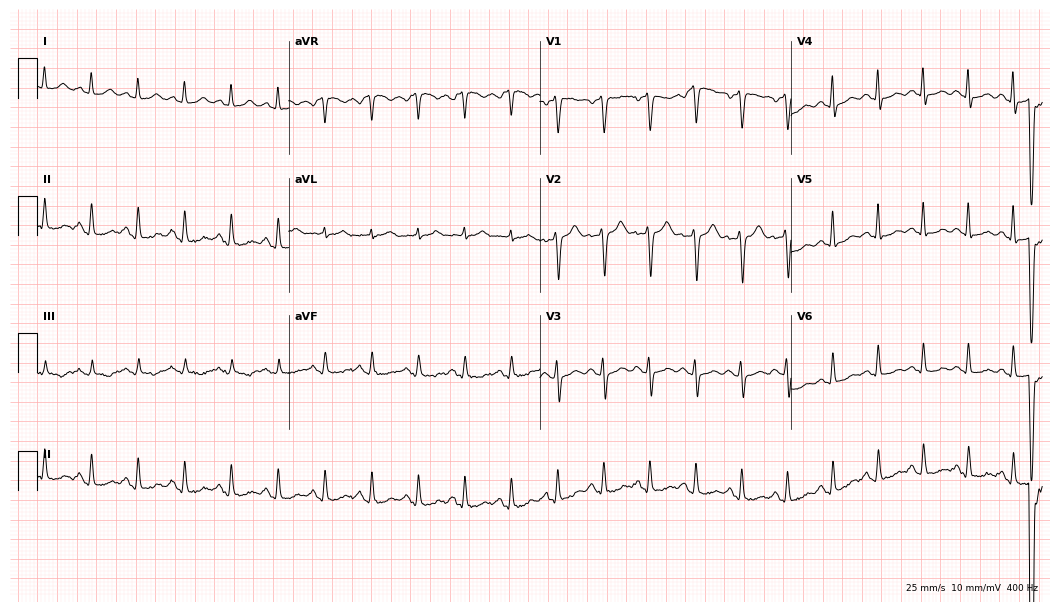
12-lead ECG from a male patient, 38 years old. Findings include sinus tachycardia (a sinus rate of 100 beats per minute or more).